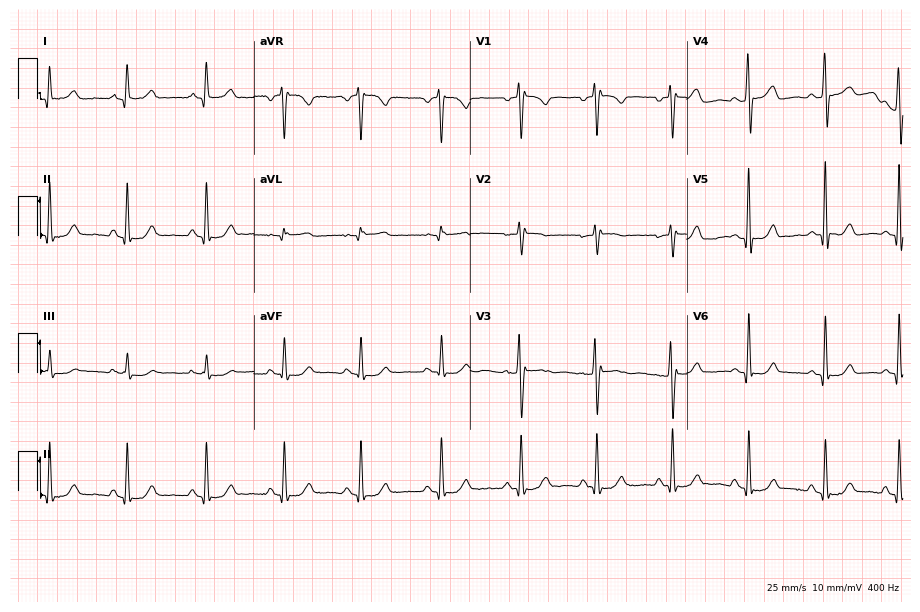
ECG — a woman, 41 years old. Labelled as a normal ECG.